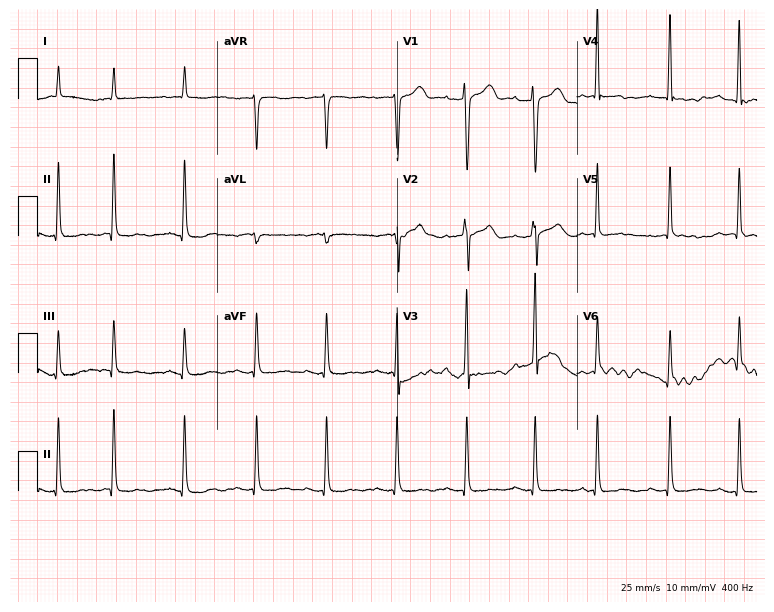
Standard 12-lead ECG recorded from a 39-year-old female patient. None of these six findings is recorded: first-degree AV block, right bundle branch block, left bundle branch block, sinus bradycardia, atrial fibrillation, sinus tachycardia.